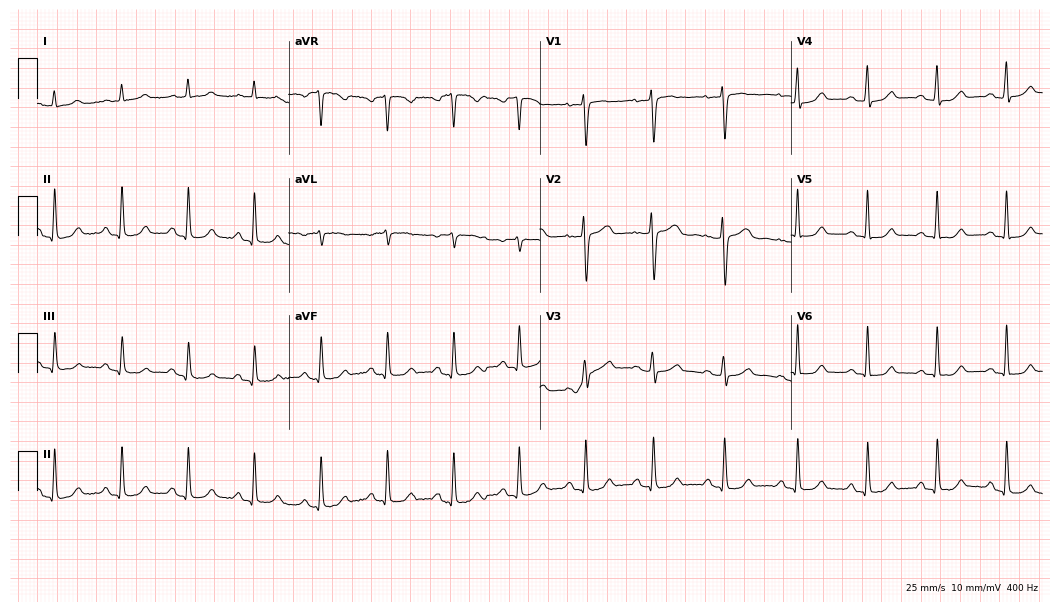
ECG — a 46-year-old woman. Labelled as a normal ECG.